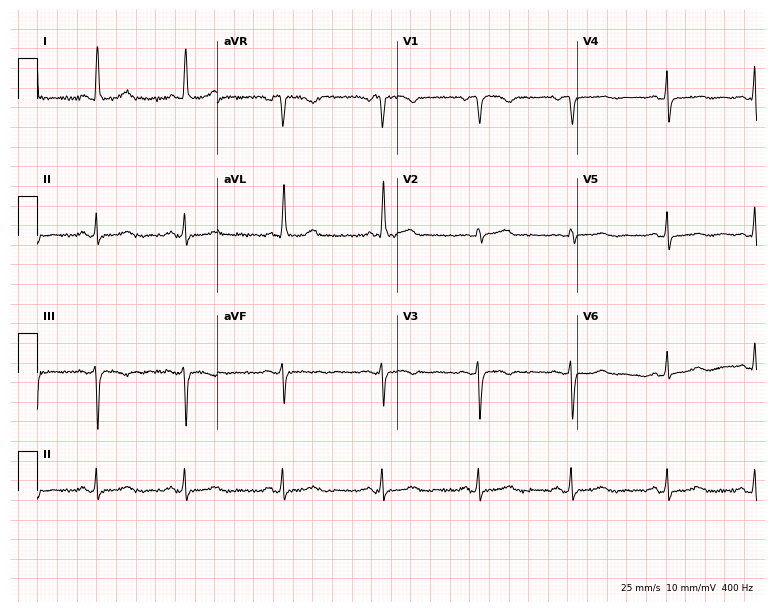
Resting 12-lead electrocardiogram (7.3-second recording at 400 Hz). Patient: an 81-year-old woman. Read as a normal ECG.